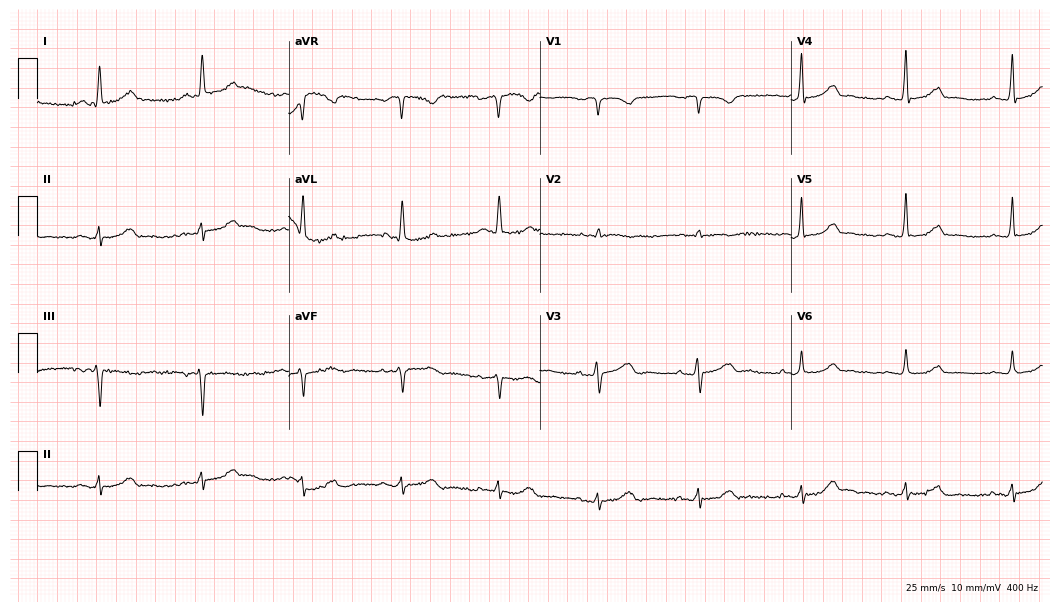
Electrocardiogram, a 64-year-old female. Overall reading on record: normal ECG.